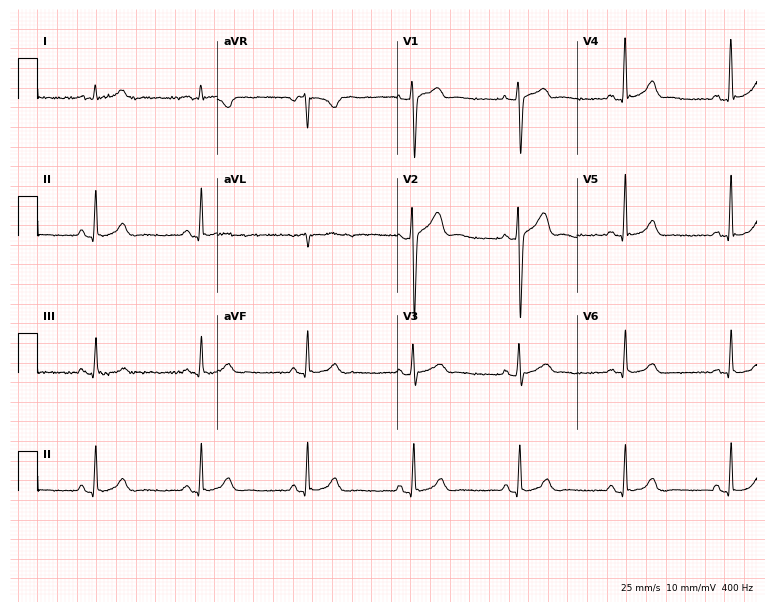
12-lead ECG (7.3-second recording at 400 Hz) from a 36-year-old man. Screened for six findings — first-degree AV block, right bundle branch block (RBBB), left bundle branch block (LBBB), sinus bradycardia, atrial fibrillation (AF), sinus tachycardia — none is recorded. Findings outside these six are not listed.